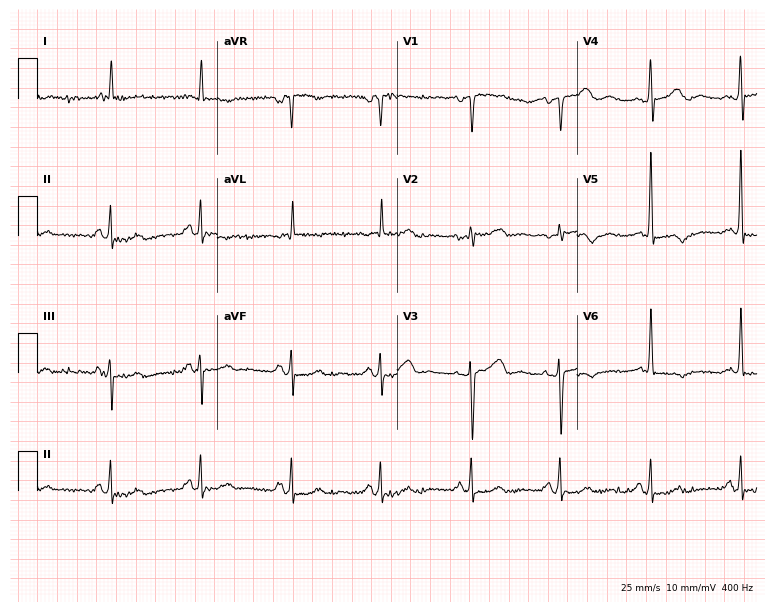
Resting 12-lead electrocardiogram. Patient: a woman, 79 years old. None of these six findings is recorded: first-degree AV block, right bundle branch block (RBBB), left bundle branch block (LBBB), sinus bradycardia, atrial fibrillation (AF), sinus tachycardia. Findings outside these six are not listed.